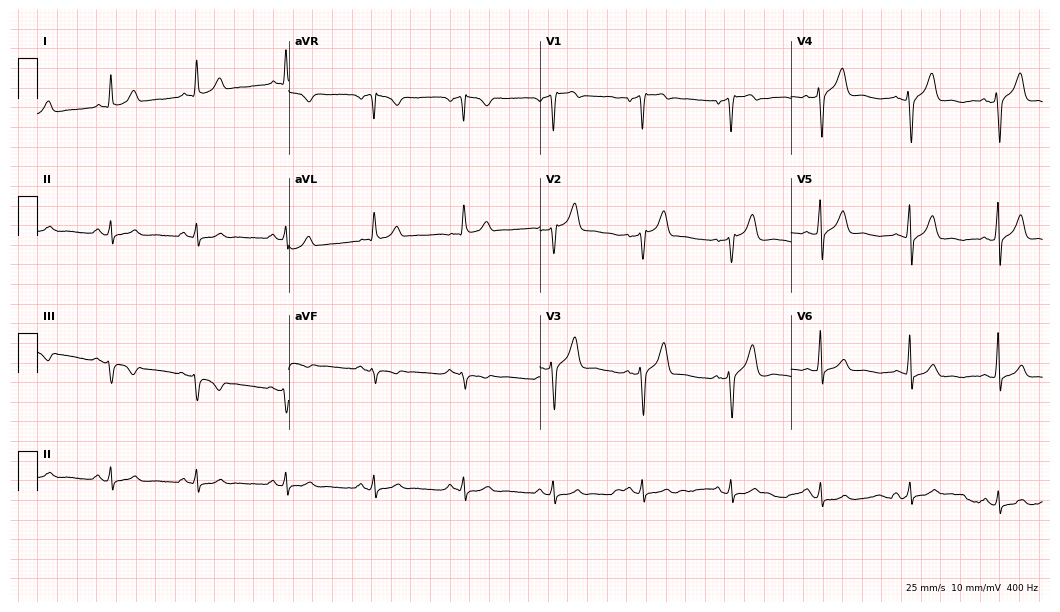
Resting 12-lead electrocardiogram. Patient: a 62-year-old man. Read as a normal ECG.